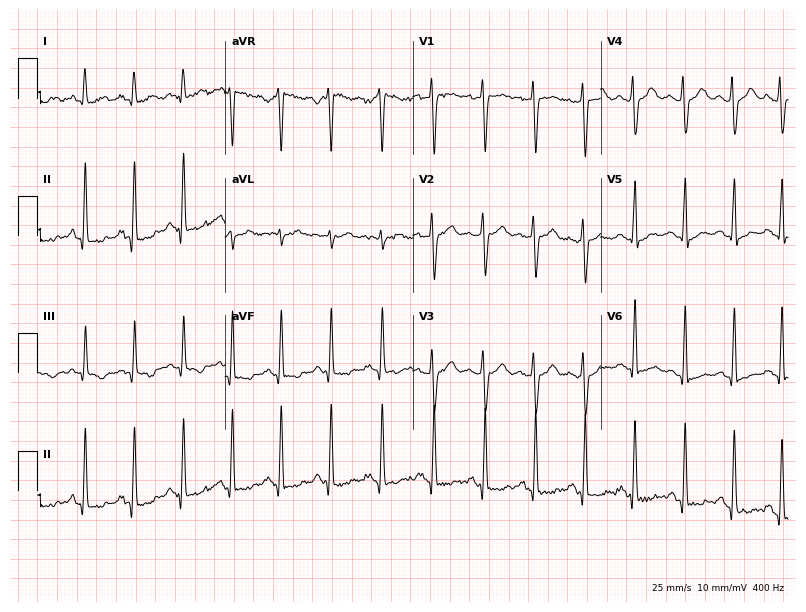
12-lead ECG from a 22-year-old woman (7.7-second recording at 400 Hz). No first-degree AV block, right bundle branch block (RBBB), left bundle branch block (LBBB), sinus bradycardia, atrial fibrillation (AF) or sinus tachycardia recorded for this tracing.